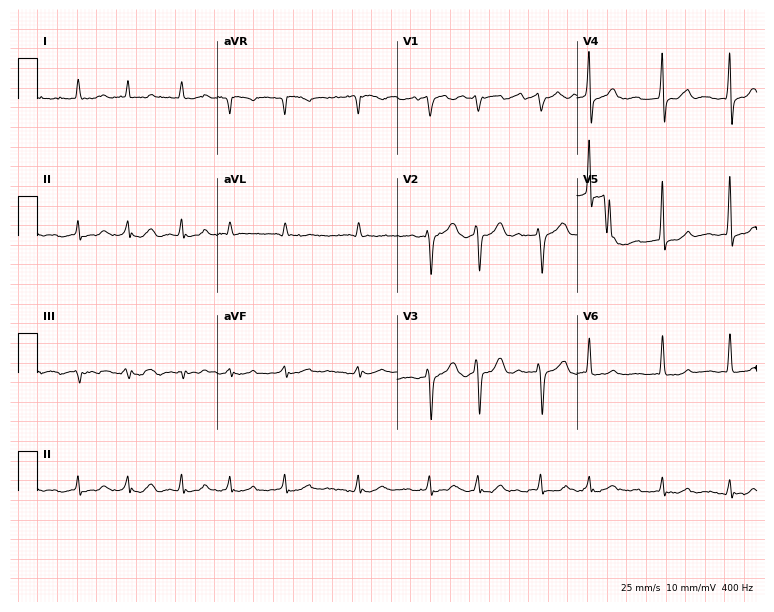
ECG (7.3-second recording at 400 Hz) — a man, 78 years old. Findings include atrial fibrillation (AF).